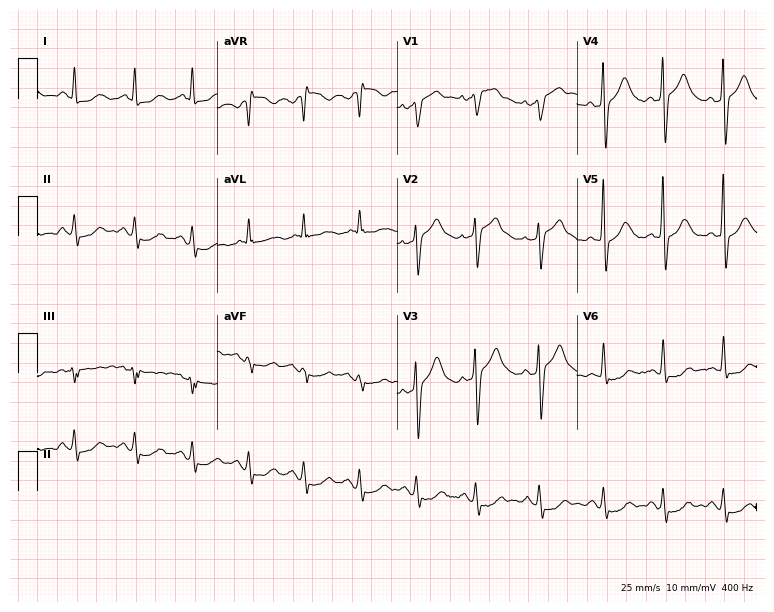
Standard 12-lead ECG recorded from a male patient, 50 years old (7.3-second recording at 400 Hz). None of these six findings is recorded: first-degree AV block, right bundle branch block, left bundle branch block, sinus bradycardia, atrial fibrillation, sinus tachycardia. Findings outside these six are not listed.